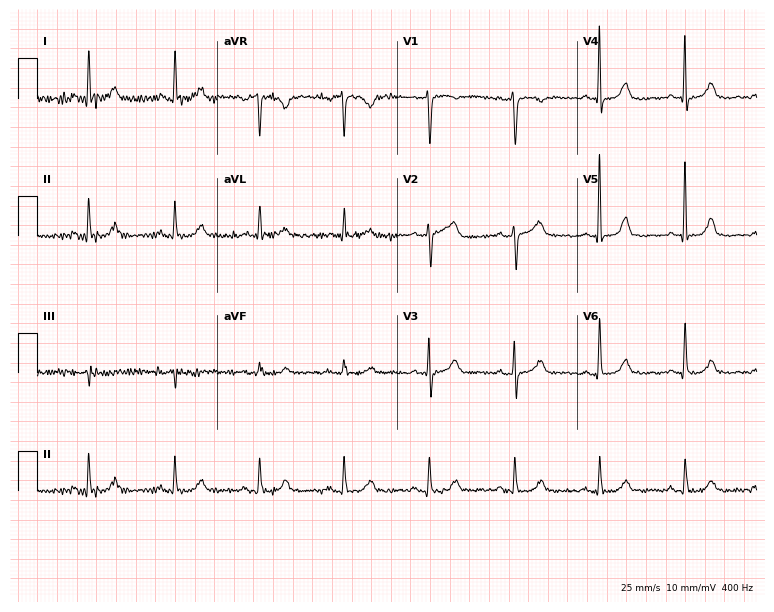
Electrocardiogram, a female patient, 83 years old. Overall reading on record: normal ECG.